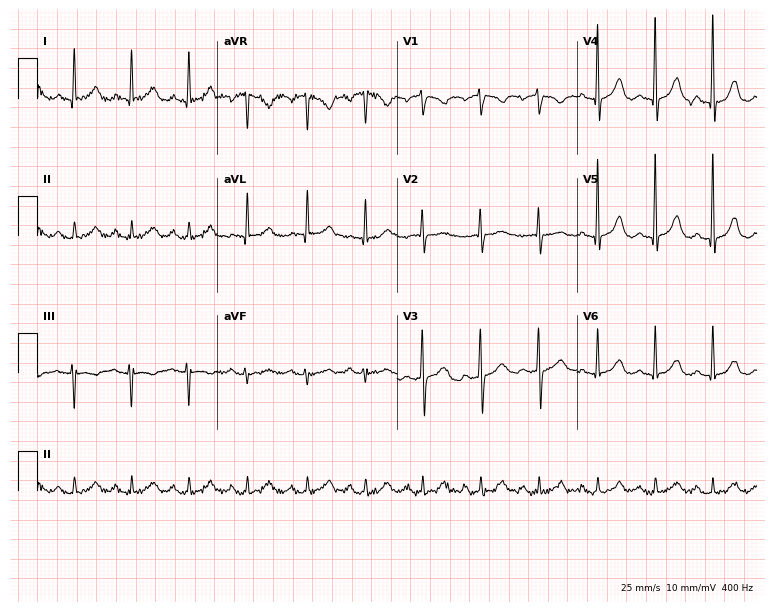
ECG — a 77-year-old female patient. Labelled as a normal ECG.